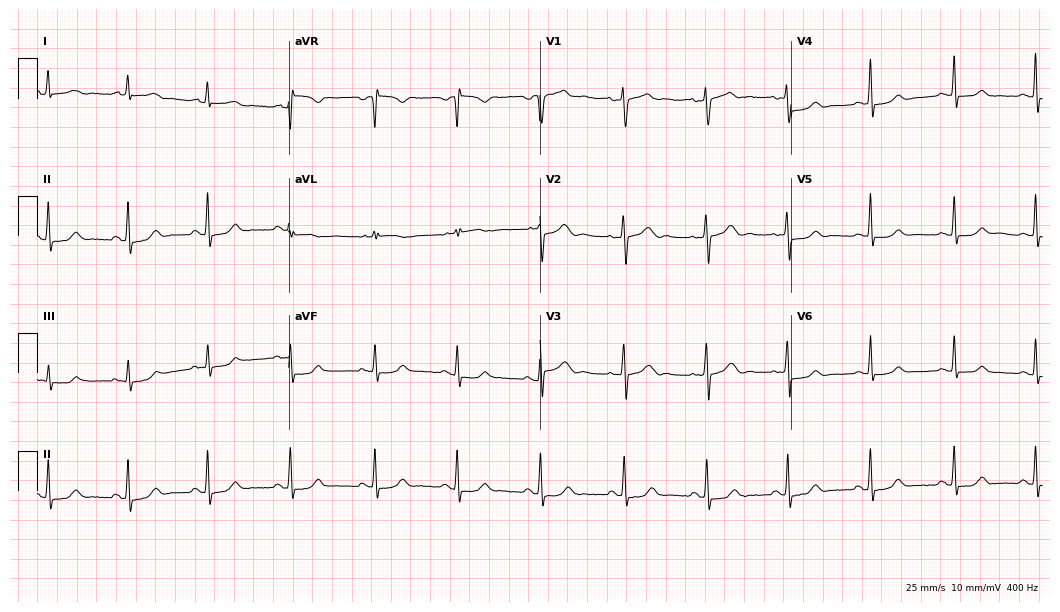
Standard 12-lead ECG recorded from a 39-year-old female (10.2-second recording at 400 Hz). Read as a normal ECG.